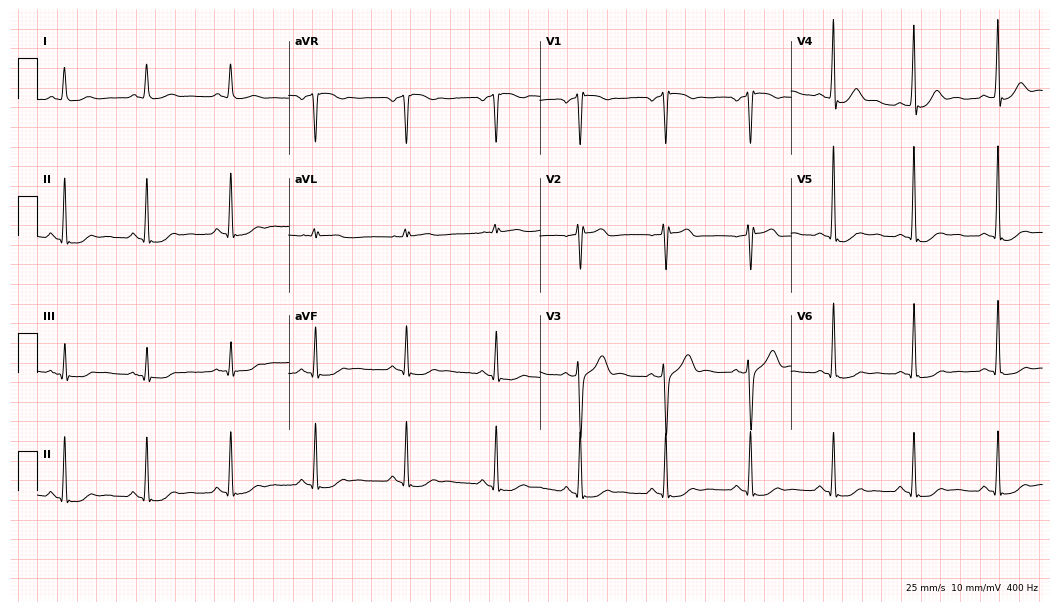
Standard 12-lead ECG recorded from a 42-year-old man (10.2-second recording at 400 Hz). None of these six findings is recorded: first-degree AV block, right bundle branch block (RBBB), left bundle branch block (LBBB), sinus bradycardia, atrial fibrillation (AF), sinus tachycardia. Only these six findings were labelled.